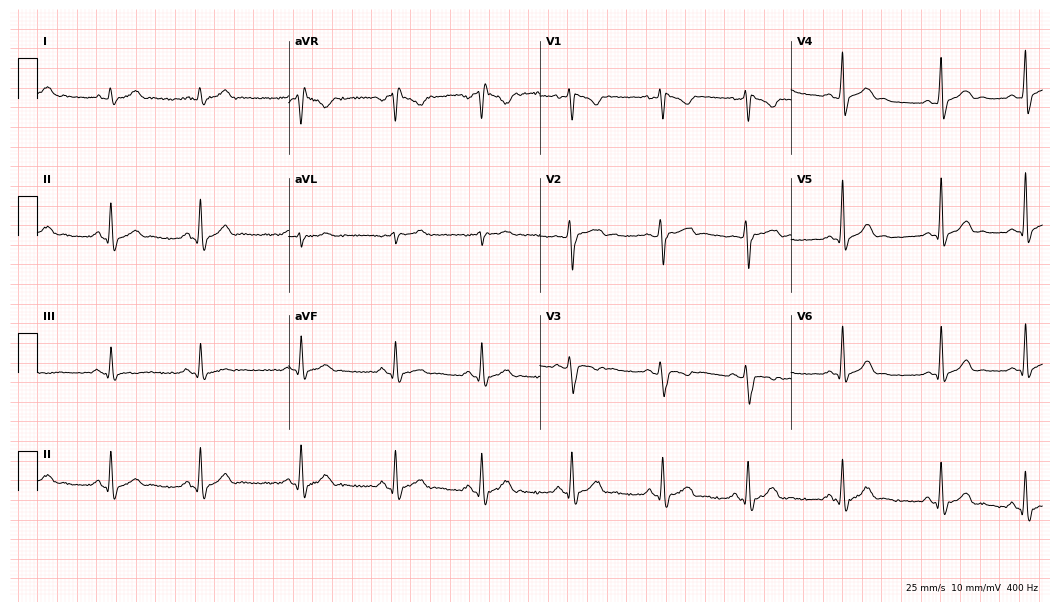
ECG (10.2-second recording at 400 Hz) — a 20-year-old male patient. Screened for six findings — first-degree AV block, right bundle branch block, left bundle branch block, sinus bradycardia, atrial fibrillation, sinus tachycardia — none is recorded.